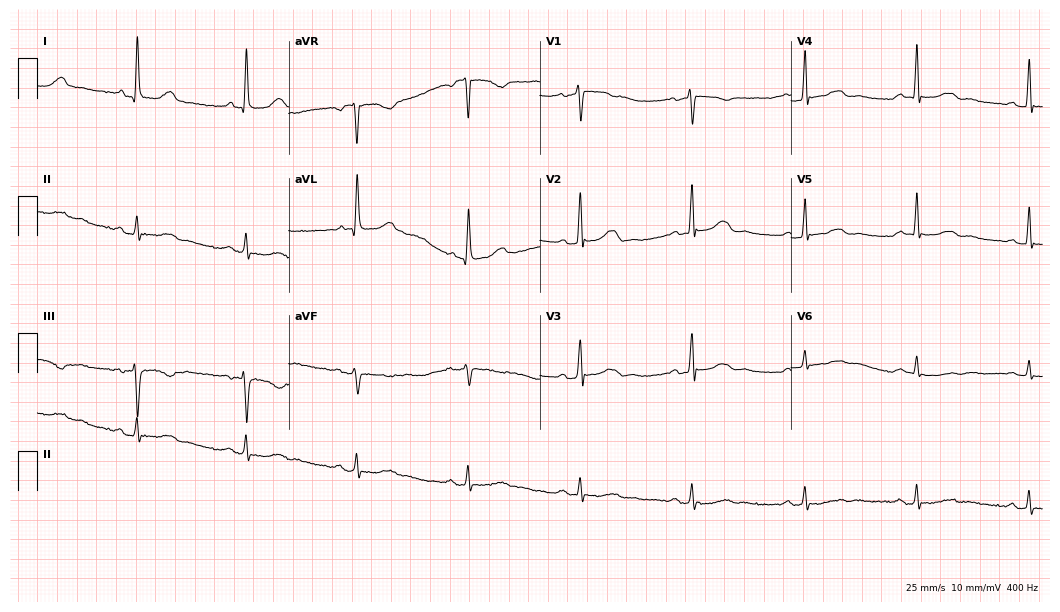
Resting 12-lead electrocardiogram (10.2-second recording at 400 Hz). Patient: a 66-year-old female. None of these six findings is recorded: first-degree AV block, right bundle branch block, left bundle branch block, sinus bradycardia, atrial fibrillation, sinus tachycardia.